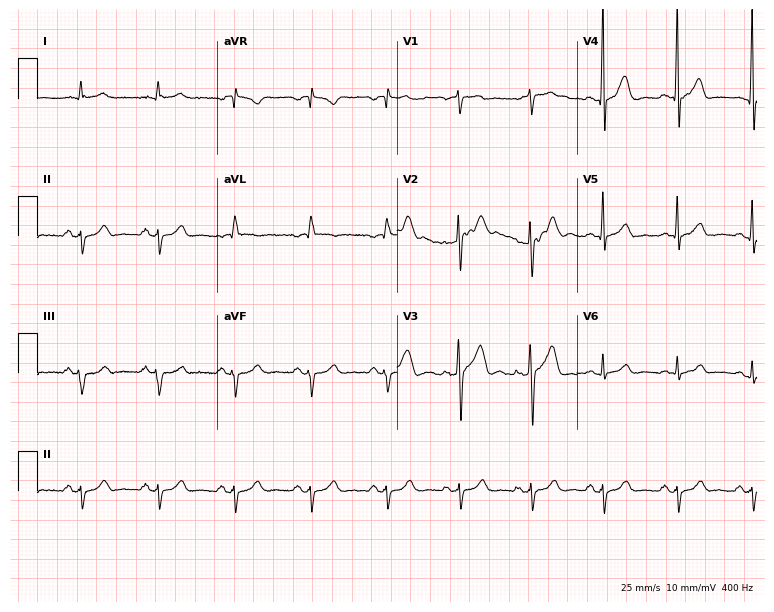
ECG (7.3-second recording at 400 Hz) — a man, 33 years old. Screened for six findings — first-degree AV block, right bundle branch block, left bundle branch block, sinus bradycardia, atrial fibrillation, sinus tachycardia — none is recorded. Findings outside these six are not listed.